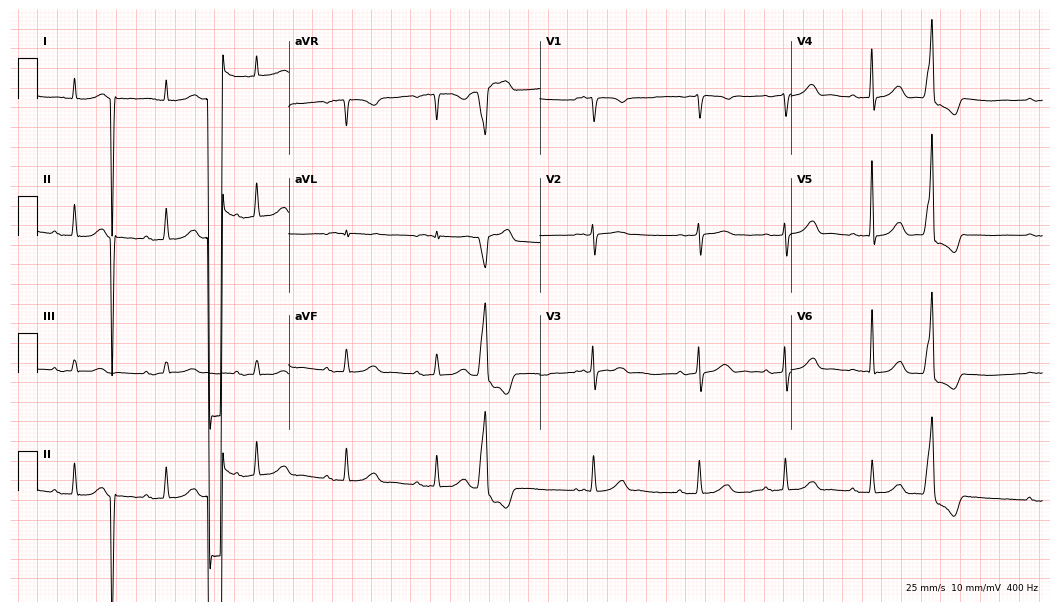
Standard 12-lead ECG recorded from a male, 78 years old (10.2-second recording at 400 Hz). None of these six findings is recorded: first-degree AV block, right bundle branch block (RBBB), left bundle branch block (LBBB), sinus bradycardia, atrial fibrillation (AF), sinus tachycardia. Findings outside these six are not listed.